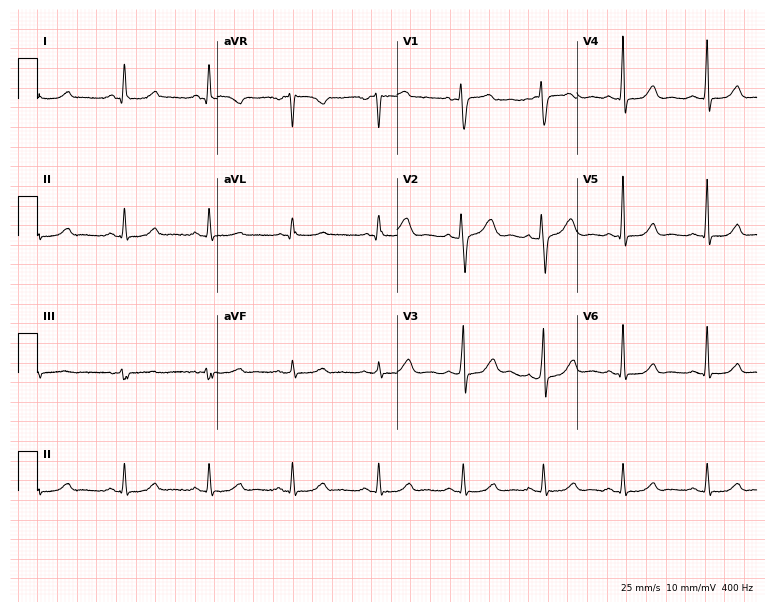
ECG (7.3-second recording at 400 Hz) — a 50-year-old female patient. Labelled as a normal ECG.